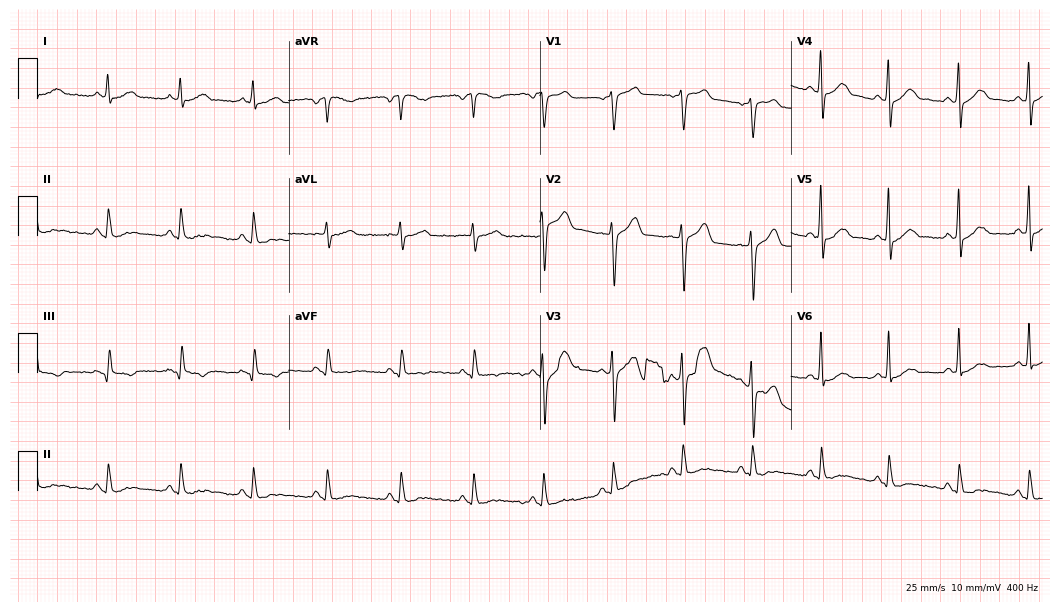
Resting 12-lead electrocardiogram (10.2-second recording at 400 Hz). Patient: a man, 61 years old. Read as a normal ECG.